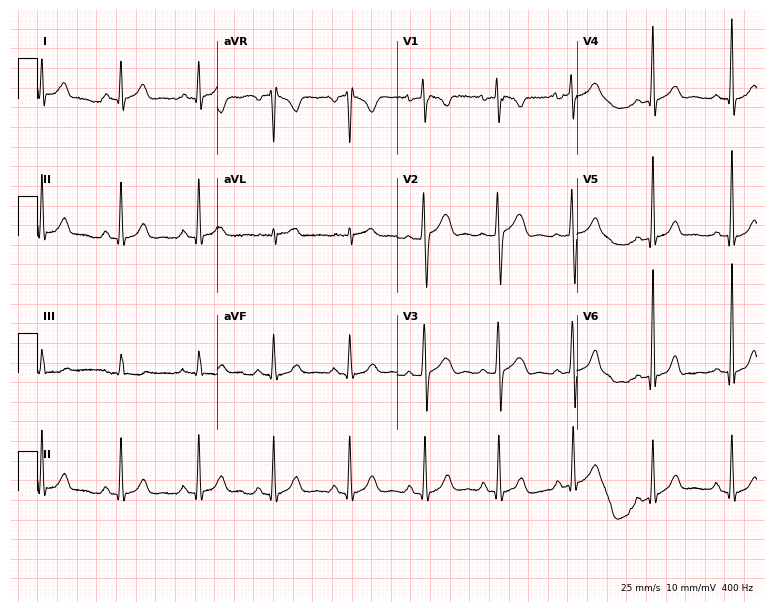
Resting 12-lead electrocardiogram (7.3-second recording at 400 Hz). Patient: a 28-year-old male. Read as a normal ECG.